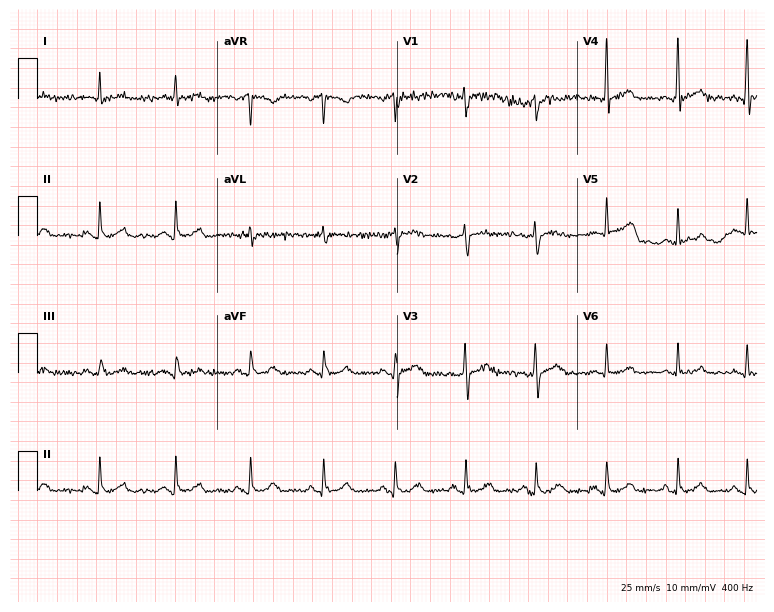
12-lead ECG from a 32-year-old man. No first-degree AV block, right bundle branch block (RBBB), left bundle branch block (LBBB), sinus bradycardia, atrial fibrillation (AF) or sinus tachycardia recorded for this tracing. Other findings, if any, are not listed.